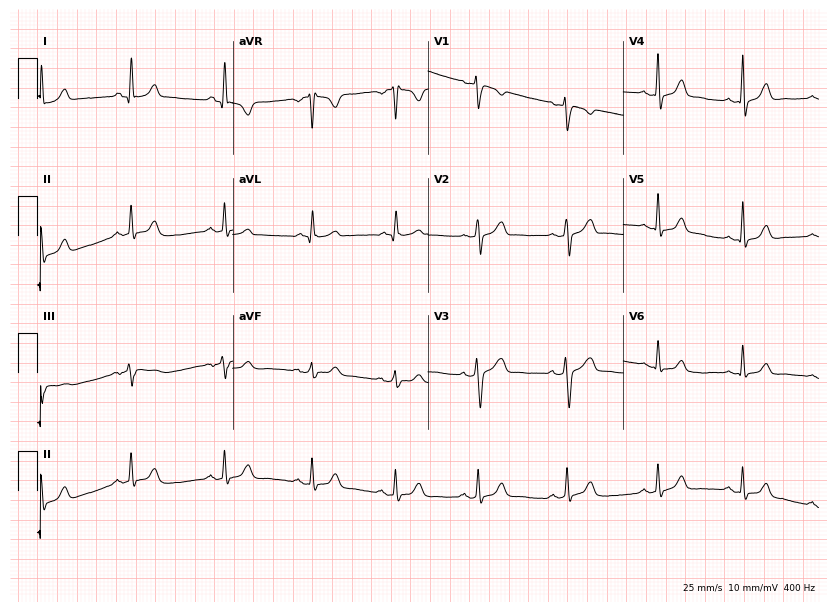
ECG (8-second recording at 400 Hz) — a 40-year-old female patient. Labelled as a normal ECG.